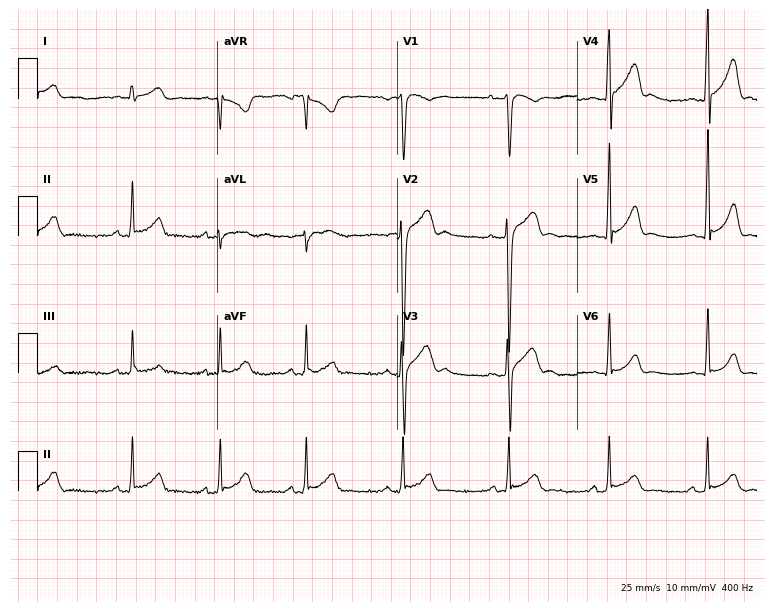
ECG — a male, 17 years old. Labelled as a normal ECG.